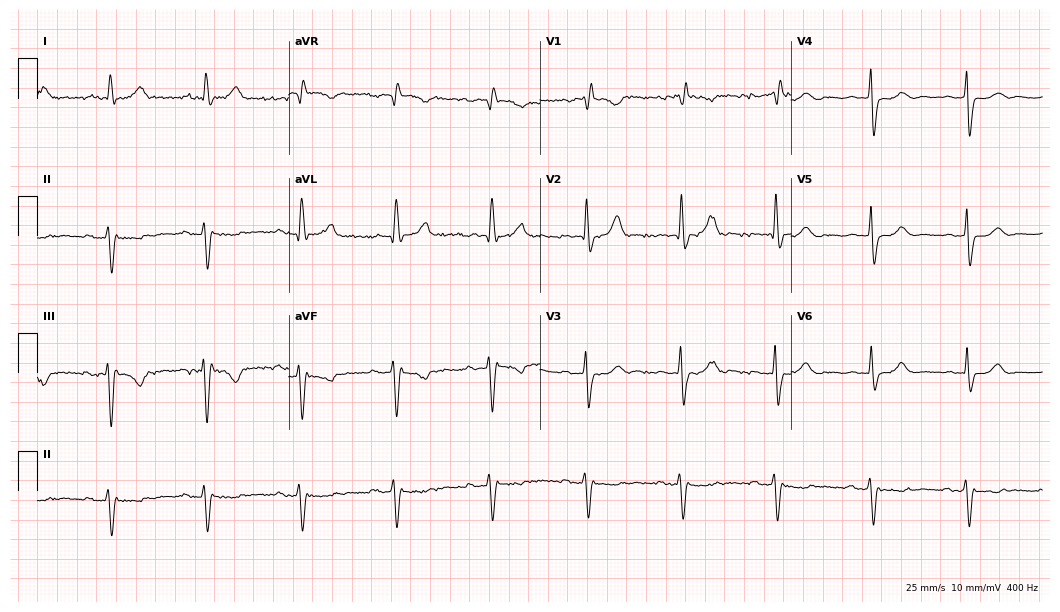
12-lead ECG (10.2-second recording at 400 Hz) from a female patient, 86 years old. Findings include right bundle branch block.